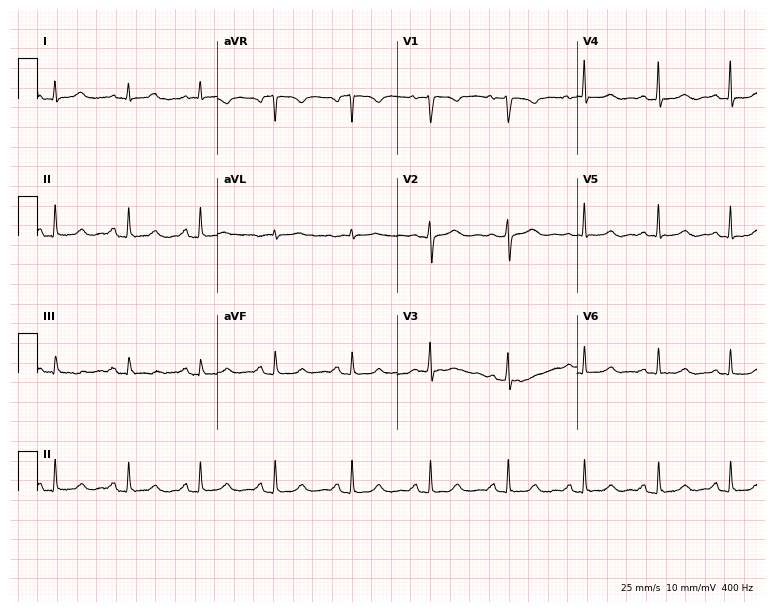
ECG — a 48-year-old female patient. Labelled as a normal ECG.